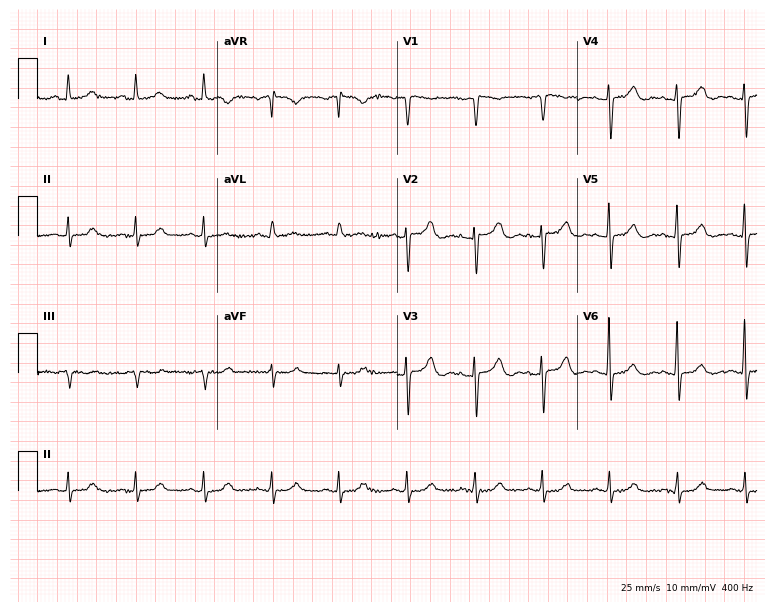
Standard 12-lead ECG recorded from a 73-year-old woman (7.3-second recording at 400 Hz). Read as a normal ECG.